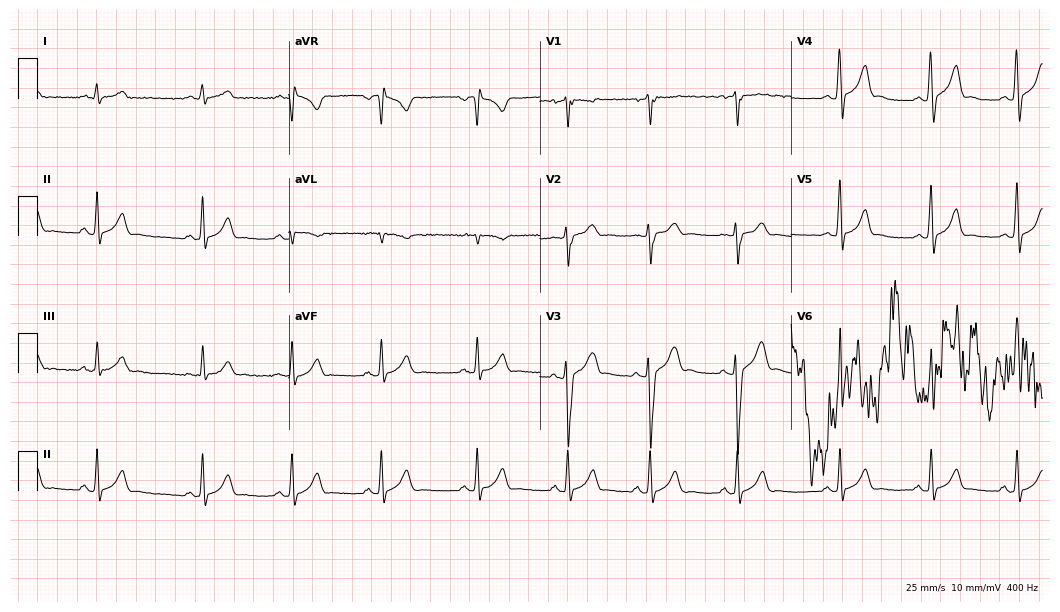
12-lead ECG from a 17-year-old male patient (10.2-second recording at 400 Hz). Recorded interpretation: within normal limits.